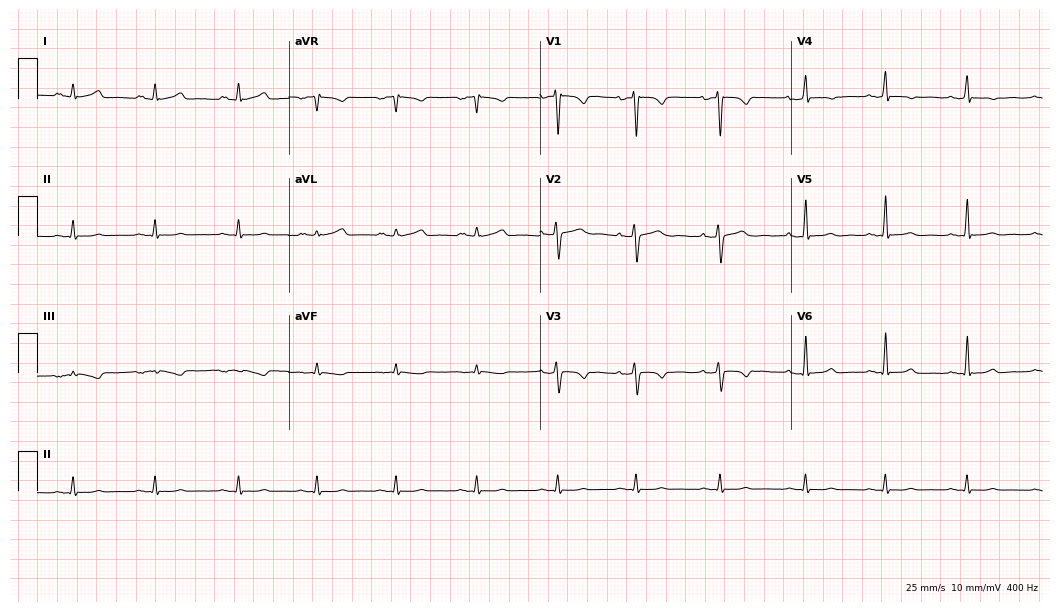
Standard 12-lead ECG recorded from a woman, 25 years old (10.2-second recording at 400 Hz). None of these six findings is recorded: first-degree AV block, right bundle branch block (RBBB), left bundle branch block (LBBB), sinus bradycardia, atrial fibrillation (AF), sinus tachycardia.